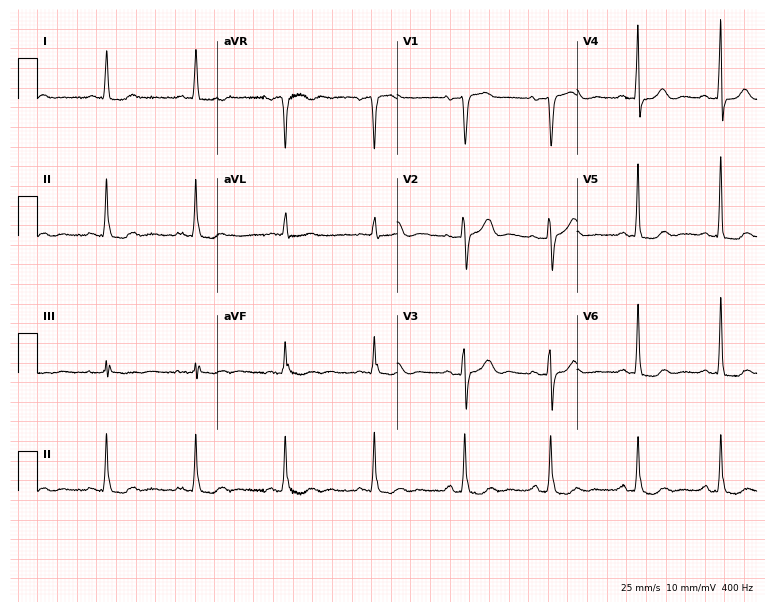
Standard 12-lead ECG recorded from an 83-year-old female. Read as a normal ECG.